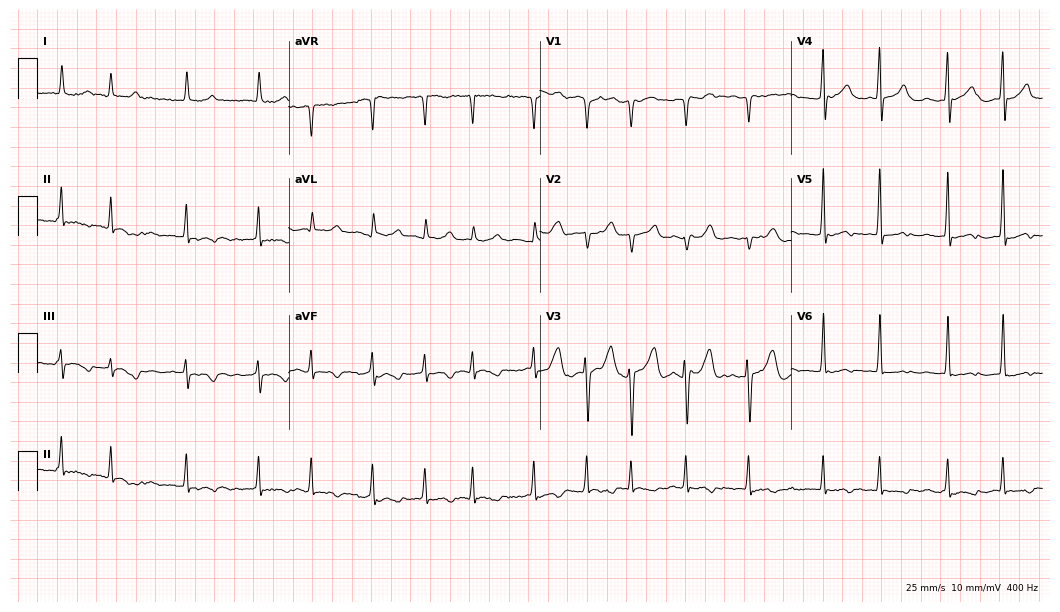
Electrocardiogram, a 64-year-old woman. Interpretation includes atrial fibrillation.